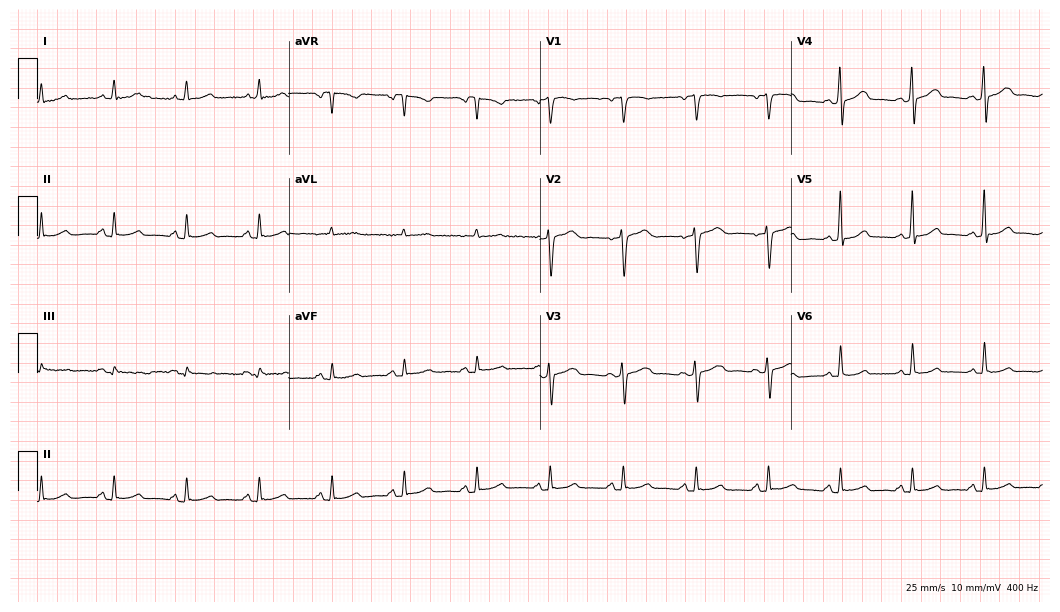
12-lead ECG (10.2-second recording at 400 Hz) from a 48-year-old female patient. Screened for six findings — first-degree AV block, right bundle branch block (RBBB), left bundle branch block (LBBB), sinus bradycardia, atrial fibrillation (AF), sinus tachycardia — none is recorded.